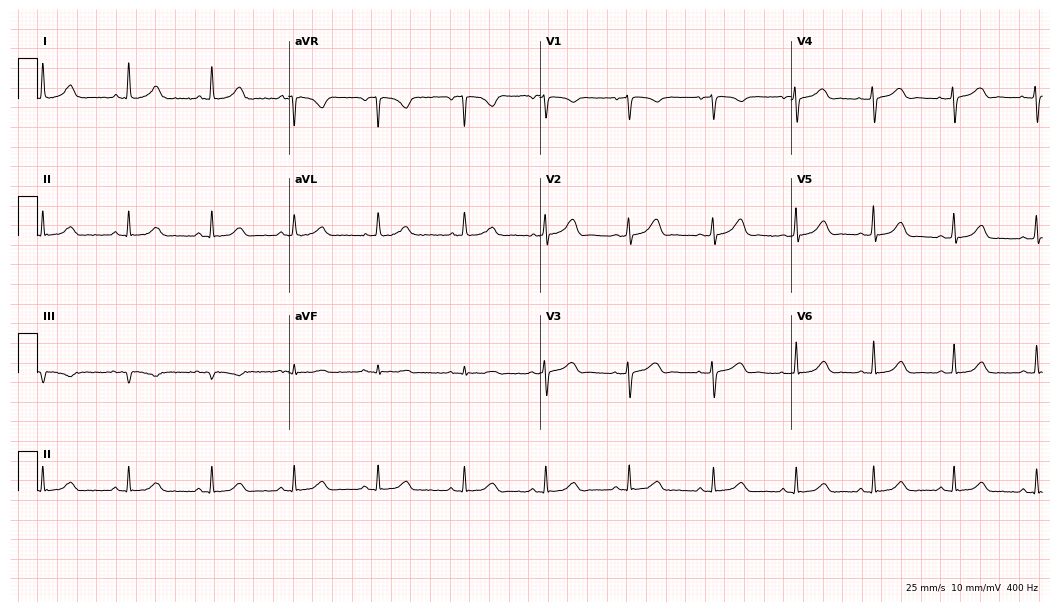
12-lead ECG from a 44-year-old female (10.2-second recording at 400 Hz). Recorded interpretation: within normal limits.